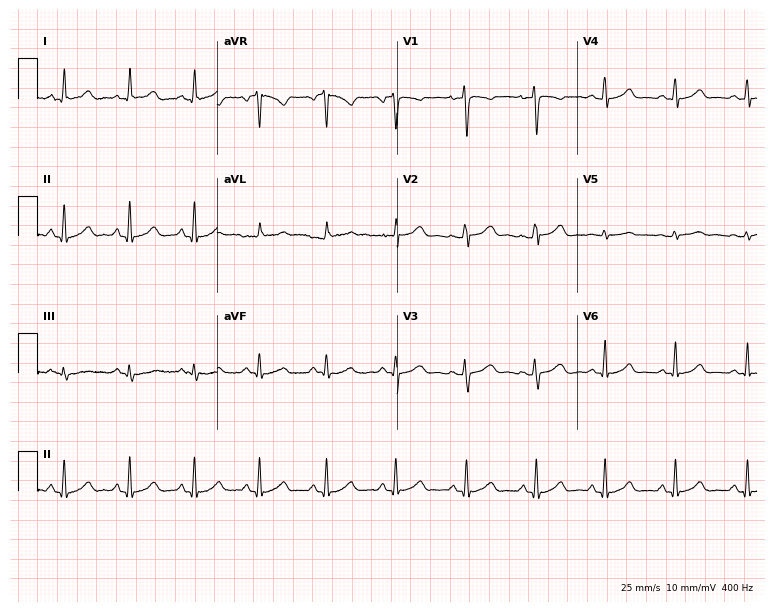
Electrocardiogram, a female patient, 35 years old. Overall reading on record: normal ECG.